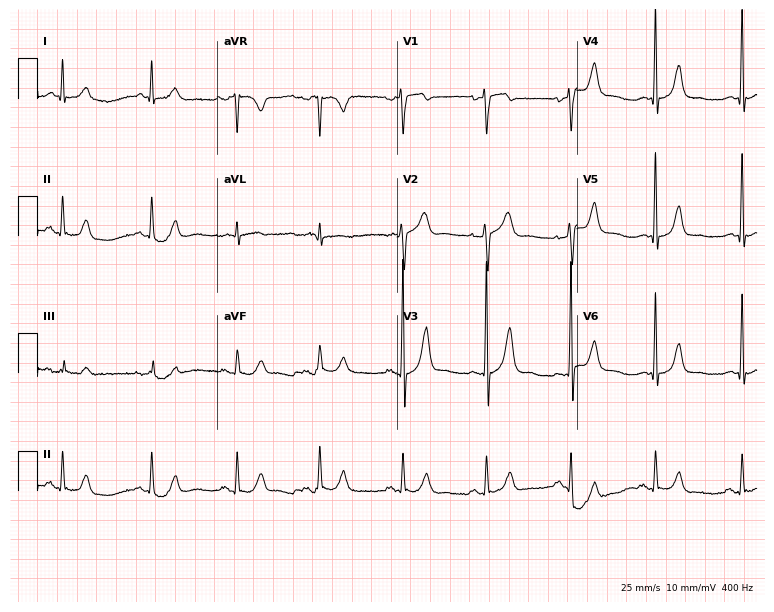
12-lead ECG from a male patient, 50 years old (7.3-second recording at 400 Hz). No first-degree AV block, right bundle branch block, left bundle branch block, sinus bradycardia, atrial fibrillation or sinus tachycardia recorded for this tracing.